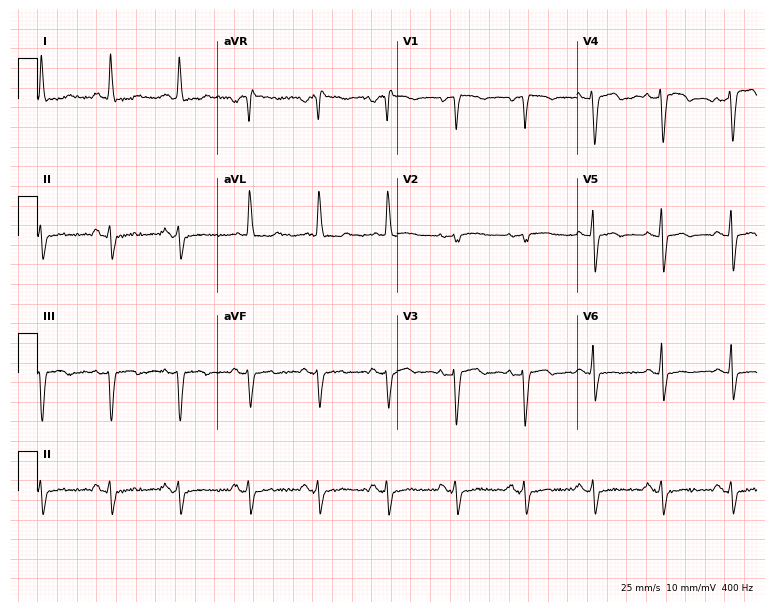
12-lead ECG from an 83-year-old female patient. Screened for six findings — first-degree AV block, right bundle branch block, left bundle branch block, sinus bradycardia, atrial fibrillation, sinus tachycardia — none is recorded.